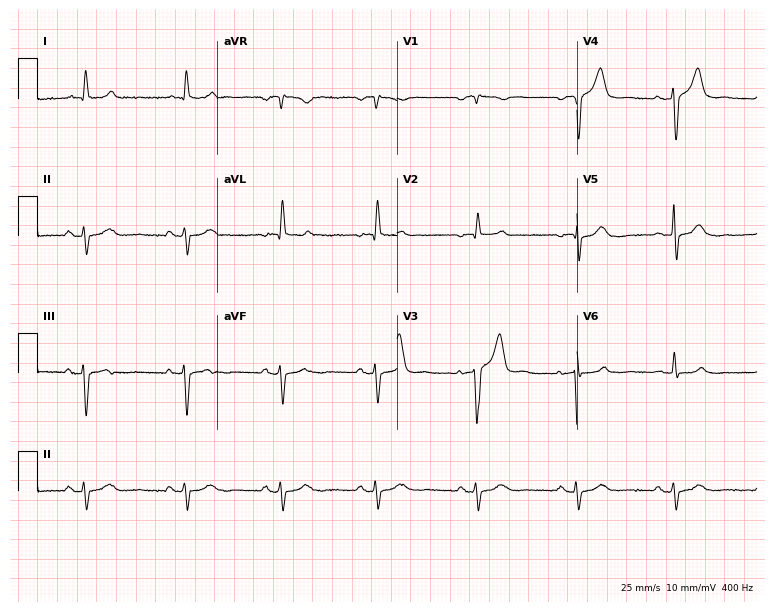
ECG (7.3-second recording at 400 Hz) — a 78-year-old male patient. Screened for six findings — first-degree AV block, right bundle branch block (RBBB), left bundle branch block (LBBB), sinus bradycardia, atrial fibrillation (AF), sinus tachycardia — none is recorded. Findings outside these six are not listed.